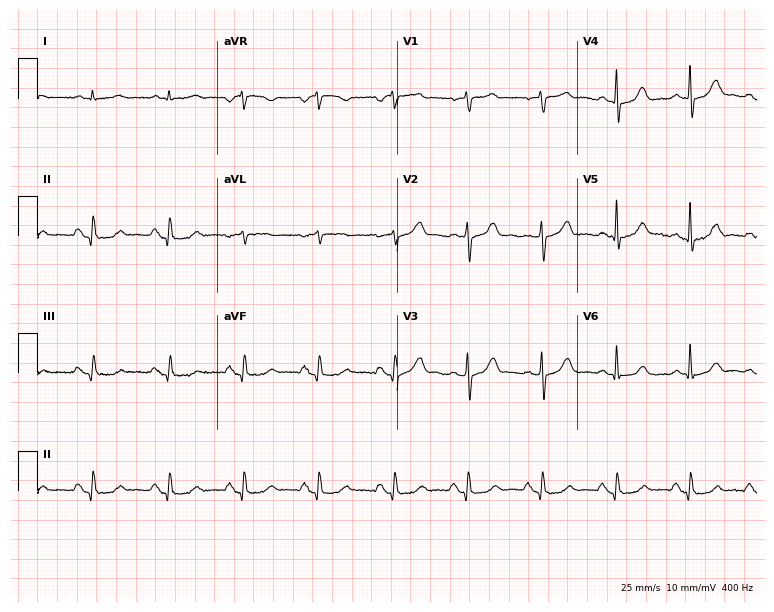
12-lead ECG from a 72-year-old male patient (7.3-second recording at 400 Hz). Recorded interpretation: within normal limits.